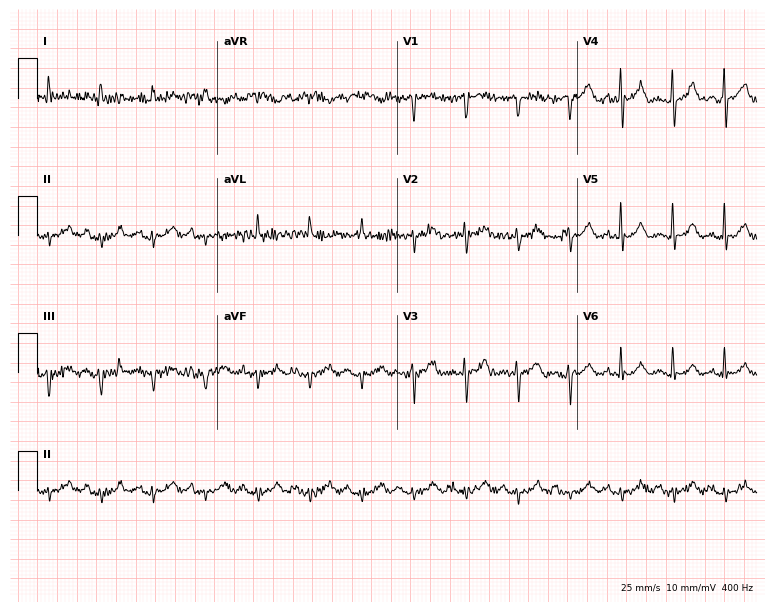
12-lead ECG from a male patient, 71 years old (7.3-second recording at 400 Hz). Shows sinus tachycardia (a sinus rate of 100 beats per minute or more).